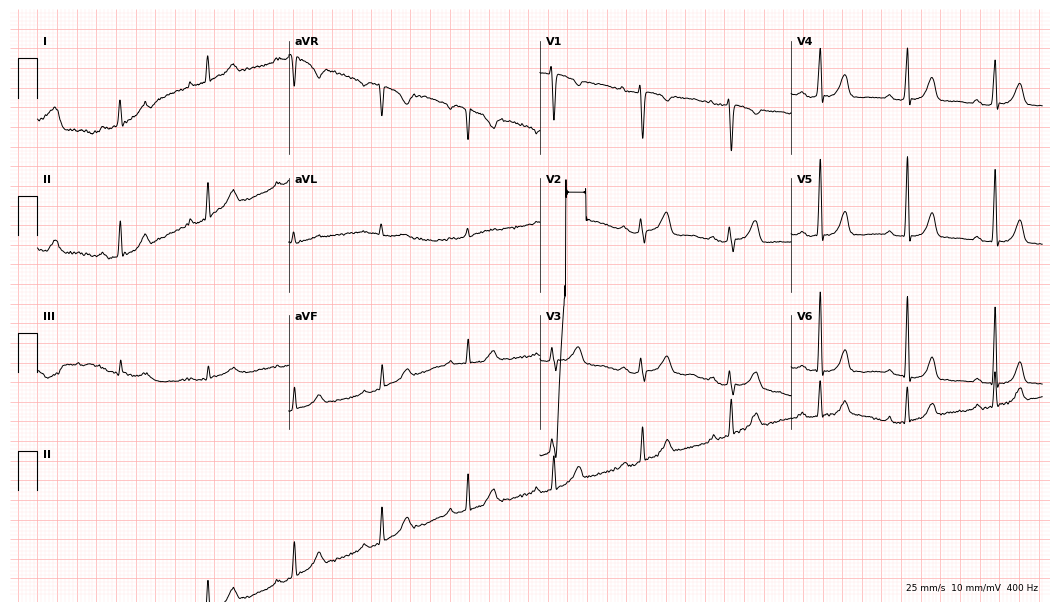
12-lead ECG (10.2-second recording at 400 Hz) from a woman, 54 years old. Labelled as a normal ECG.